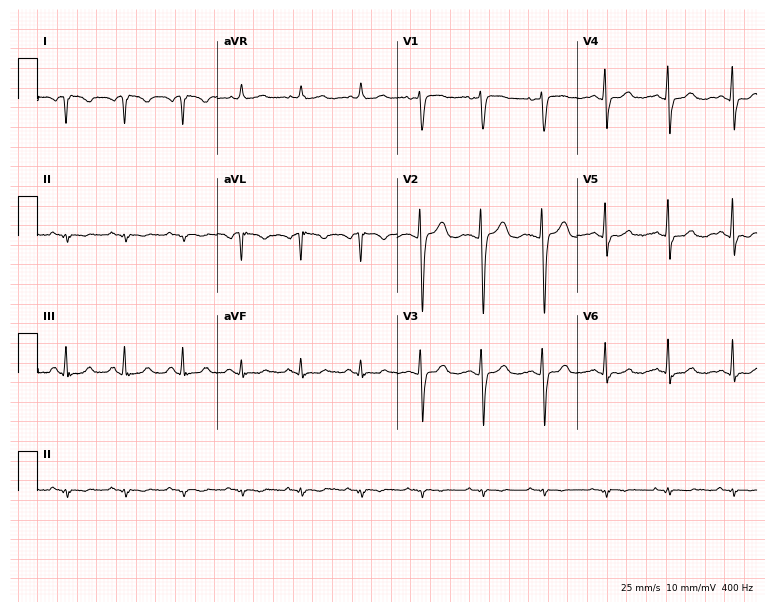
Resting 12-lead electrocardiogram (7.3-second recording at 400 Hz). Patient: a 40-year-old female. None of these six findings is recorded: first-degree AV block, right bundle branch block, left bundle branch block, sinus bradycardia, atrial fibrillation, sinus tachycardia. Other findings, if any, are not listed.